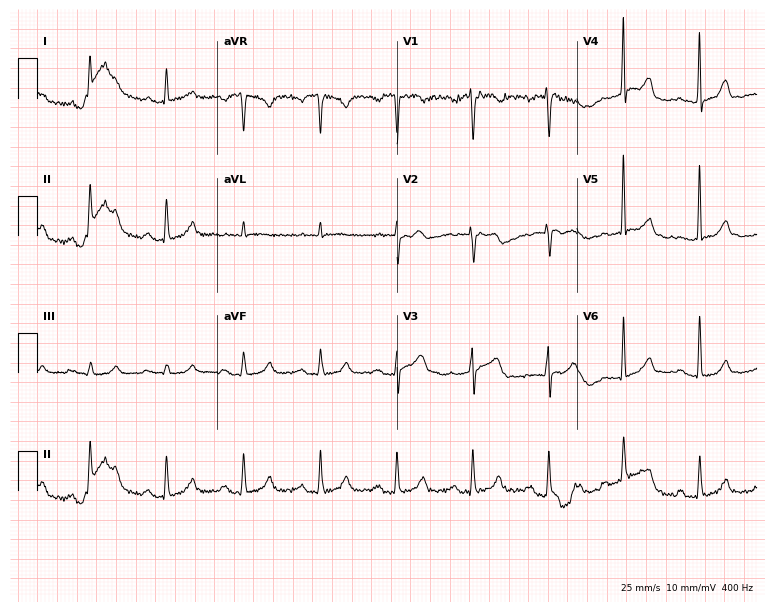
Electrocardiogram (7.3-second recording at 400 Hz), a female, 65 years old. Overall reading on record: normal ECG.